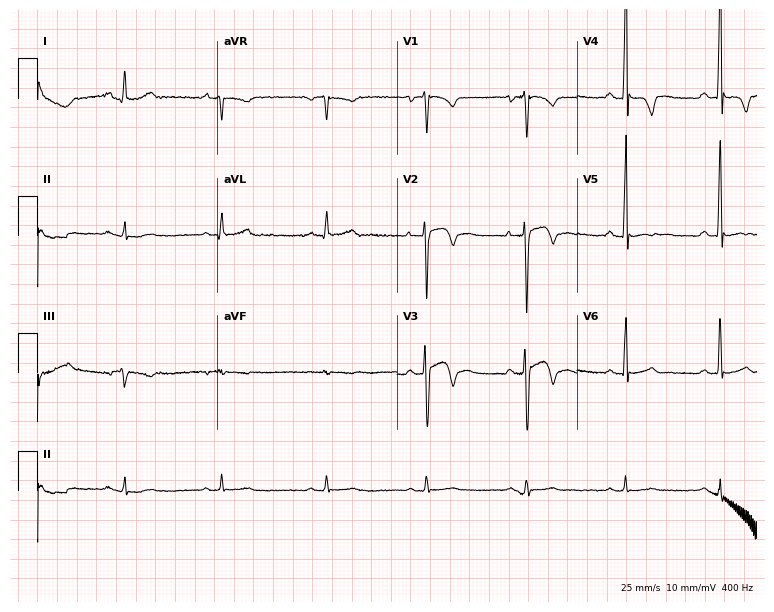
Resting 12-lead electrocardiogram (7.3-second recording at 400 Hz). Patient: a man, 26 years old. None of these six findings is recorded: first-degree AV block, right bundle branch block, left bundle branch block, sinus bradycardia, atrial fibrillation, sinus tachycardia. Findings outside these six are not listed.